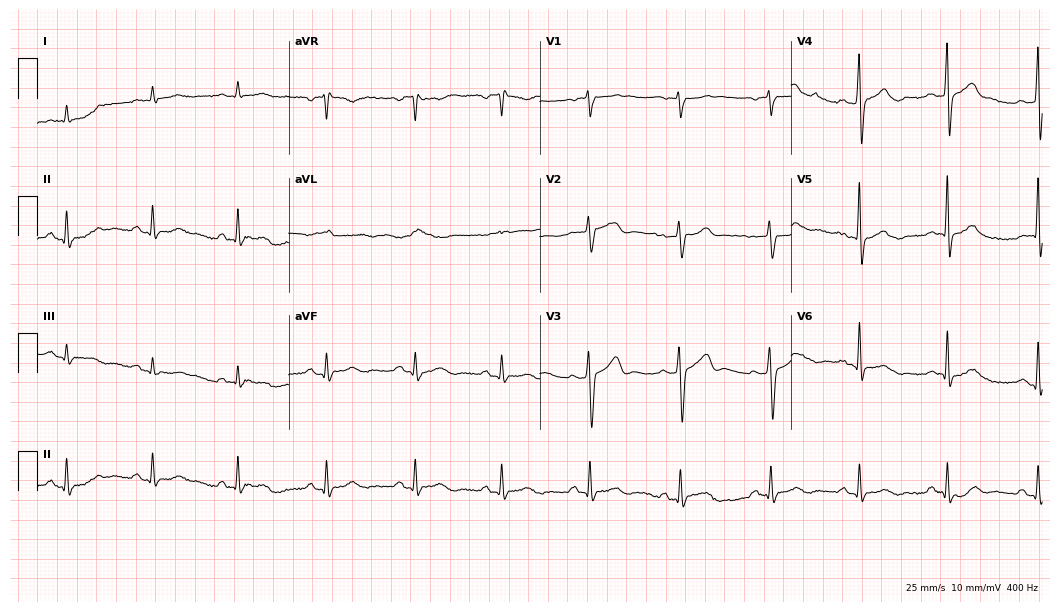
12-lead ECG from a 68-year-old male patient. Labelled as a normal ECG.